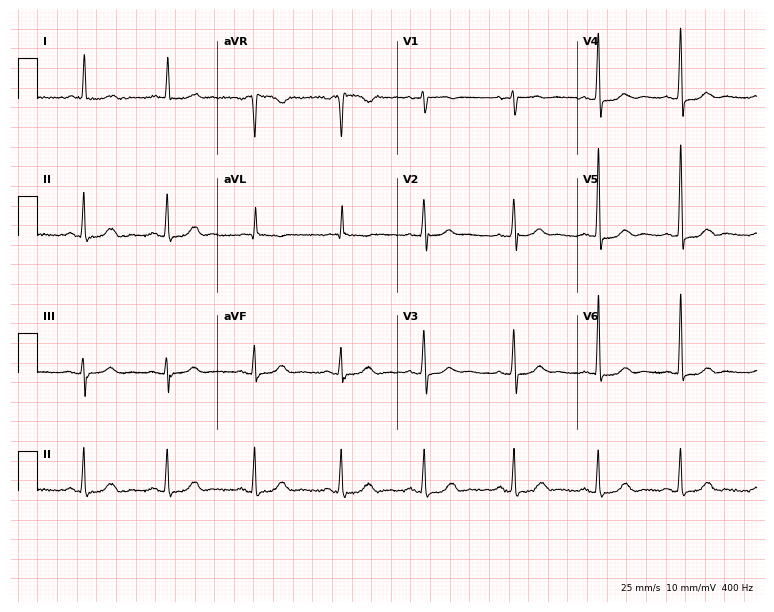
ECG — a 73-year-old female patient. Labelled as a normal ECG.